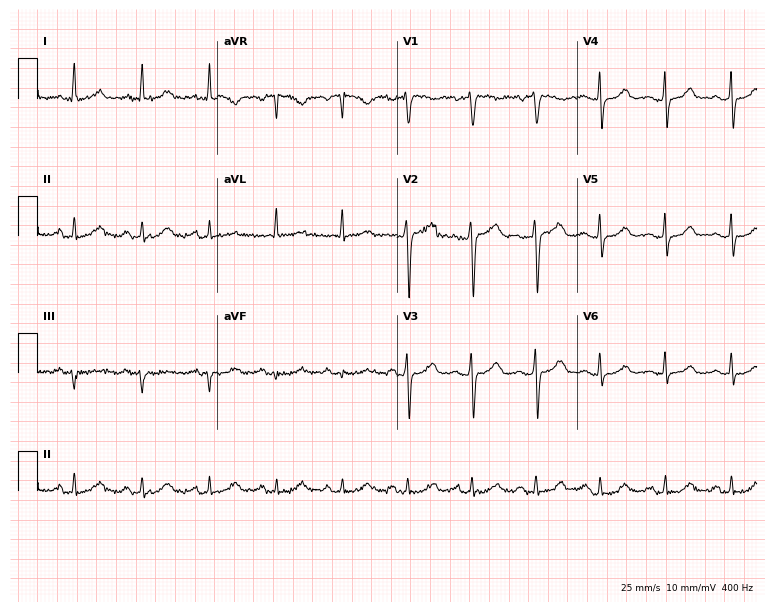
Standard 12-lead ECG recorded from a woman, 61 years old. Read as a normal ECG.